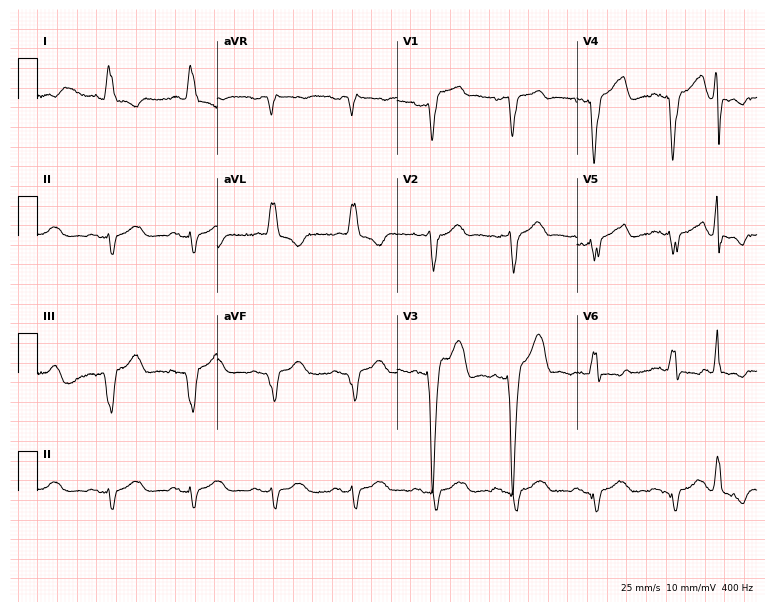
Resting 12-lead electrocardiogram (7.3-second recording at 400 Hz). Patient: an 80-year-old male. The tracing shows left bundle branch block.